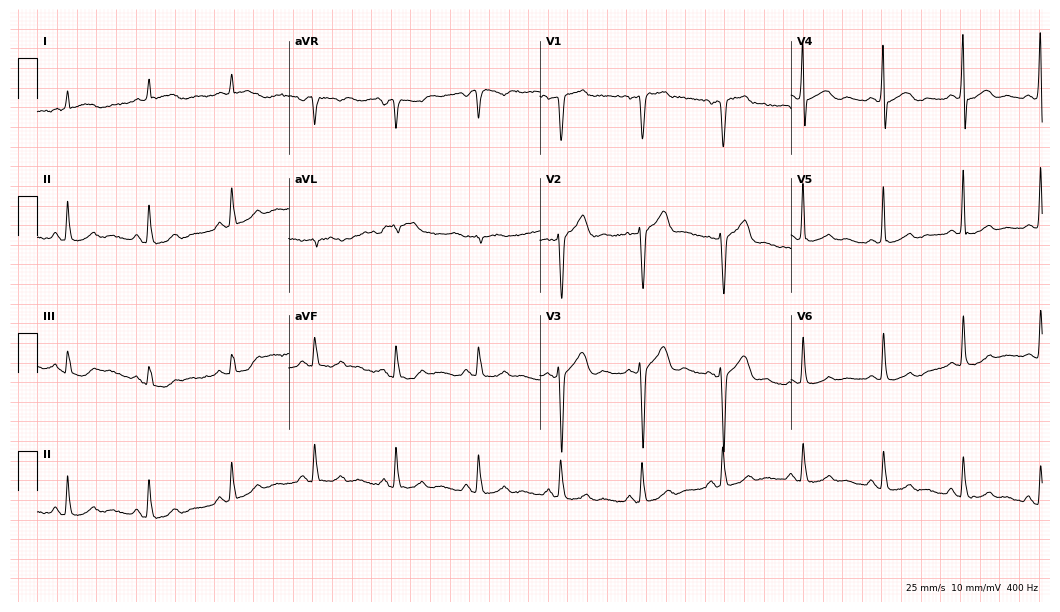
Resting 12-lead electrocardiogram. Patient: a 62-year-old male. Read as a normal ECG.